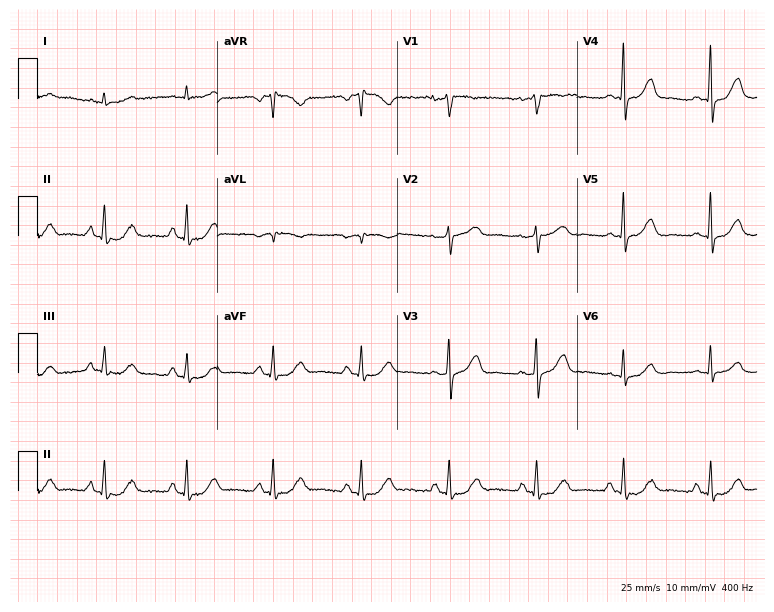
12-lead ECG from a man, 53 years old (7.3-second recording at 400 Hz). No first-degree AV block, right bundle branch block (RBBB), left bundle branch block (LBBB), sinus bradycardia, atrial fibrillation (AF) or sinus tachycardia recorded for this tracing.